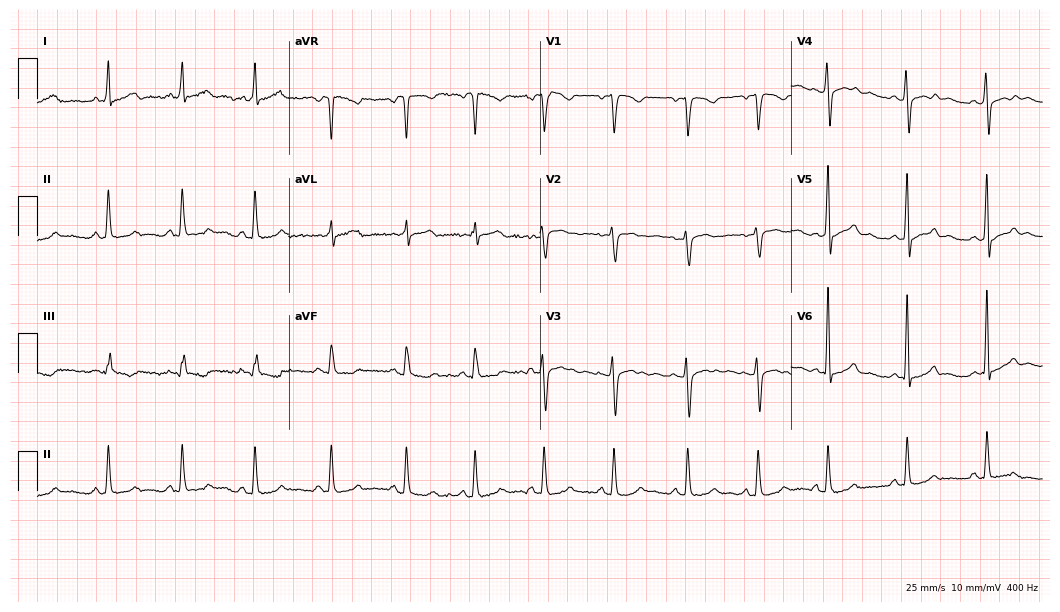
Resting 12-lead electrocardiogram. Patient: a 32-year-old female. None of these six findings is recorded: first-degree AV block, right bundle branch block, left bundle branch block, sinus bradycardia, atrial fibrillation, sinus tachycardia.